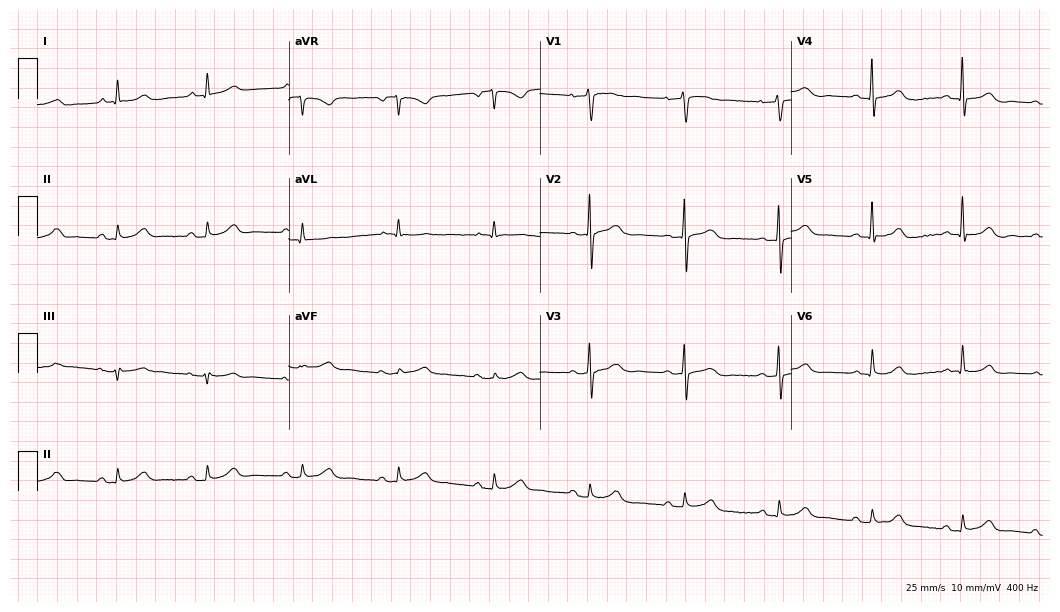
Electrocardiogram (10.2-second recording at 400 Hz), a male, 76 years old. Overall reading on record: normal ECG.